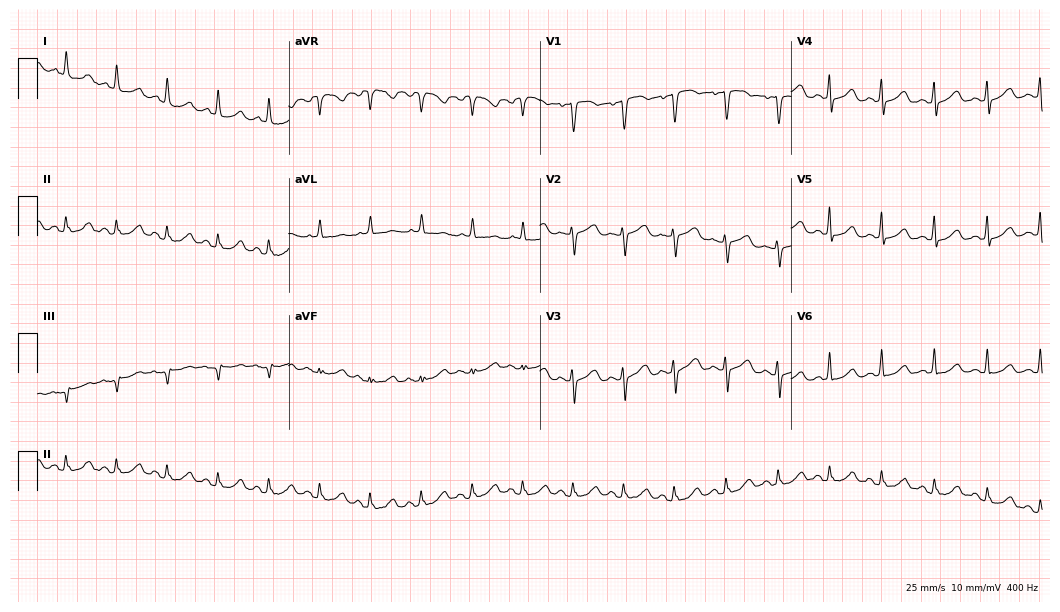
Electrocardiogram (10.2-second recording at 400 Hz), a 62-year-old woman. Of the six screened findings (first-degree AV block, right bundle branch block, left bundle branch block, sinus bradycardia, atrial fibrillation, sinus tachycardia), none is recorded.